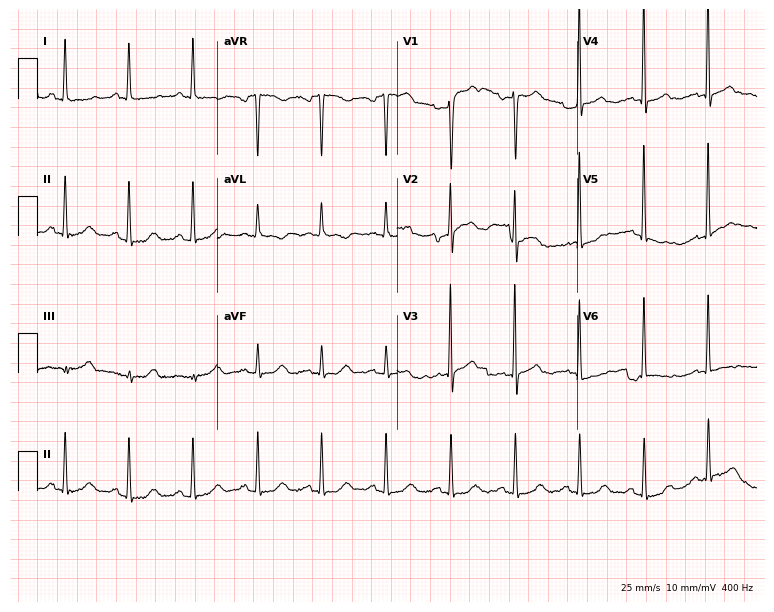
ECG — a 64-year-old female patient. Screened for six findings — first-degree AV block, right bundle branch block, left bundle branch block, sinus bradycardia, atrial fibrillation, sinus tachycardia — none is recorded. Other findings, if any, are not listed.